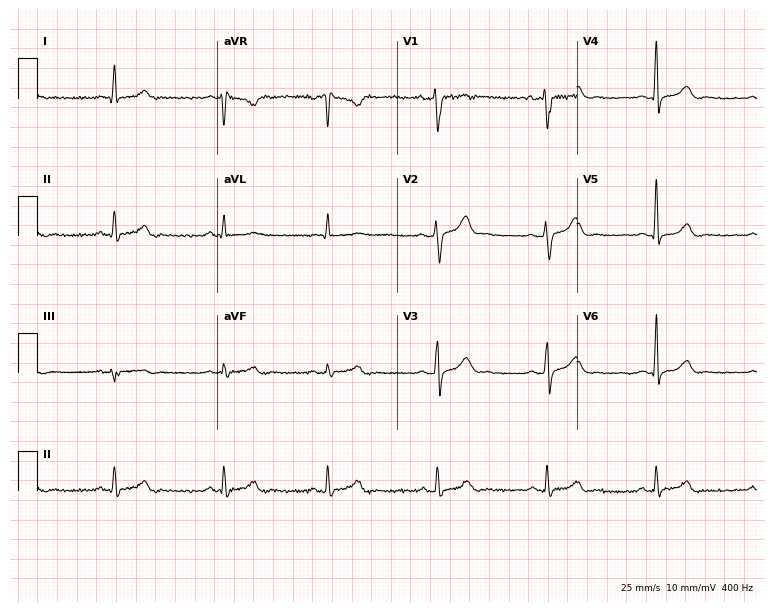
ECG — a man, 40 years old. Screened for six findings — first-degree AV block, right bundle branch block, left bundle branch block, sinus bradycardia, atrial fibrillation, sinus tachycardia — none is recorded. Only these six findings were labelled.